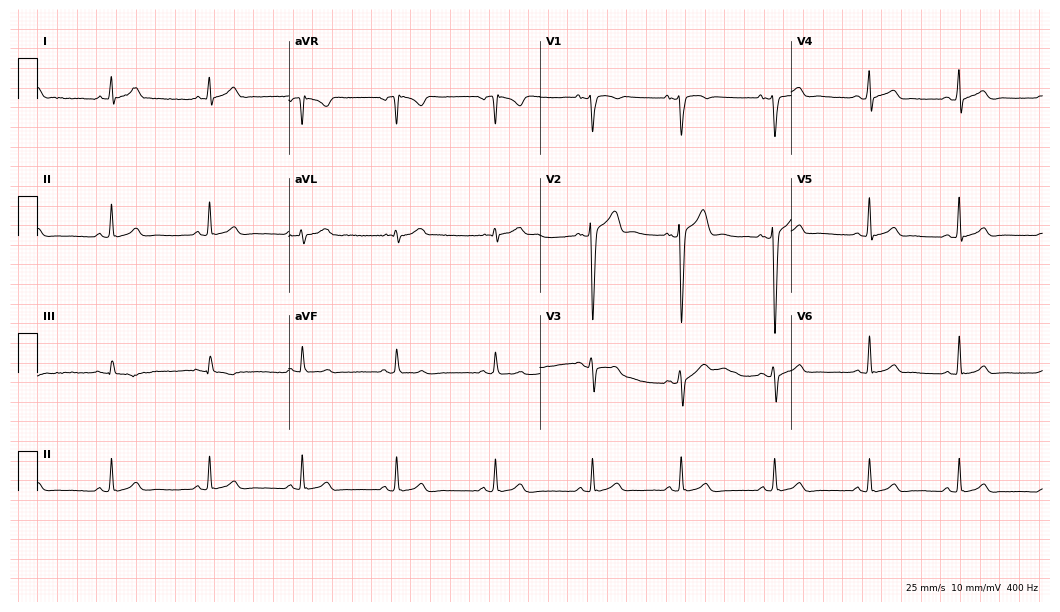
ECG (10.2-second recording at 400 Hz) — a male patient, 26 years old. Labelled as a normal ECG.